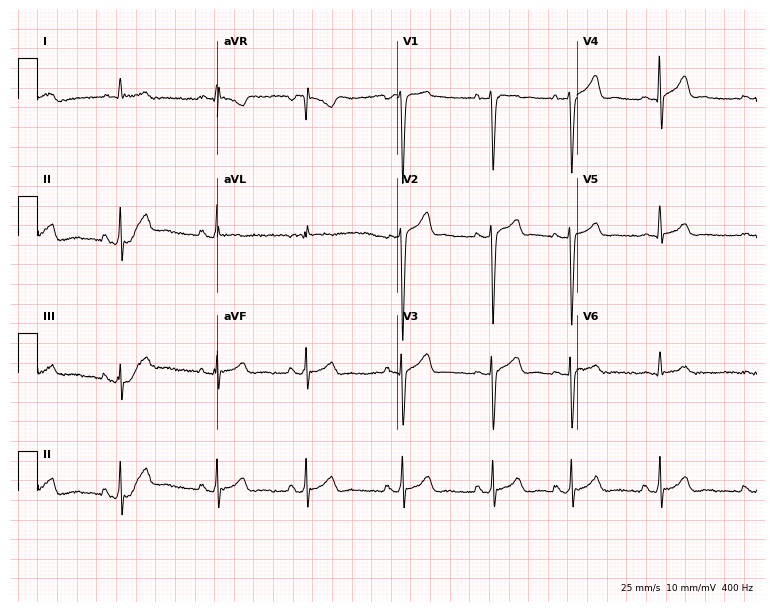
Standard 12-lead ECG recorded from a 20-year-old male patient. Read as a normal ECG.